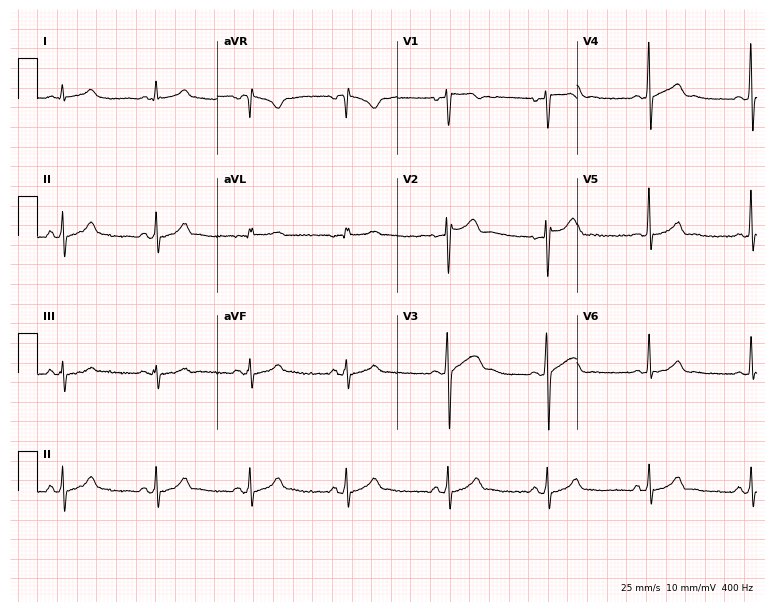
12-lead ECG (7.3-second recording at 400 Hz) from a male, 32 years old. Screened for six findings — first-degree AV block, right bundle branch block, left bundle branch block, sinus bradycardia, atrial fibrillation, sinus tachycardia — none is recorded.